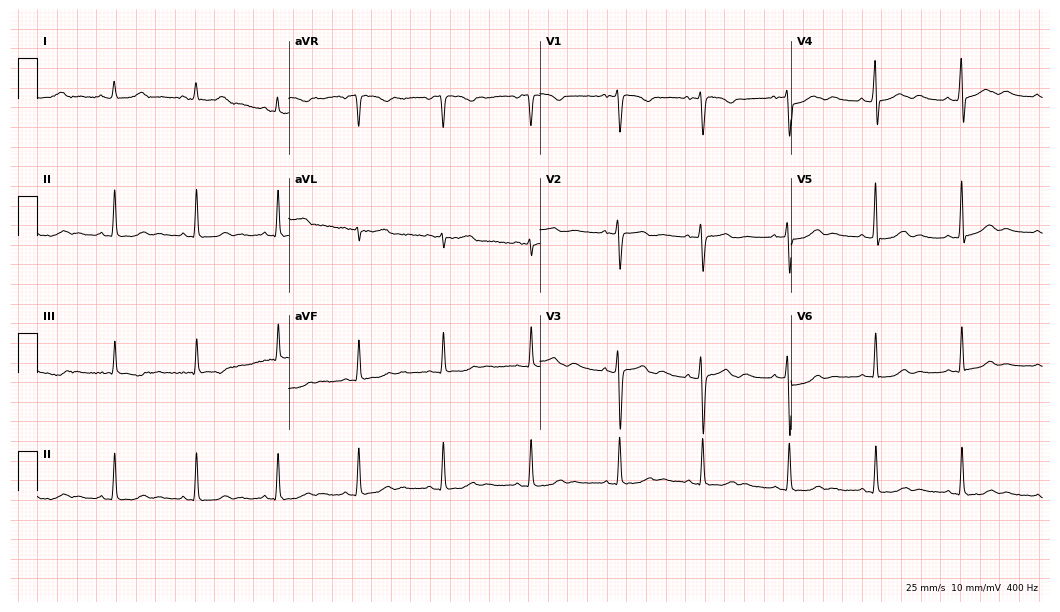
12-lead ECG (10.2-second recording at 400 Hz) from a 25-year-old female patient. Labelled as a normal ECG.